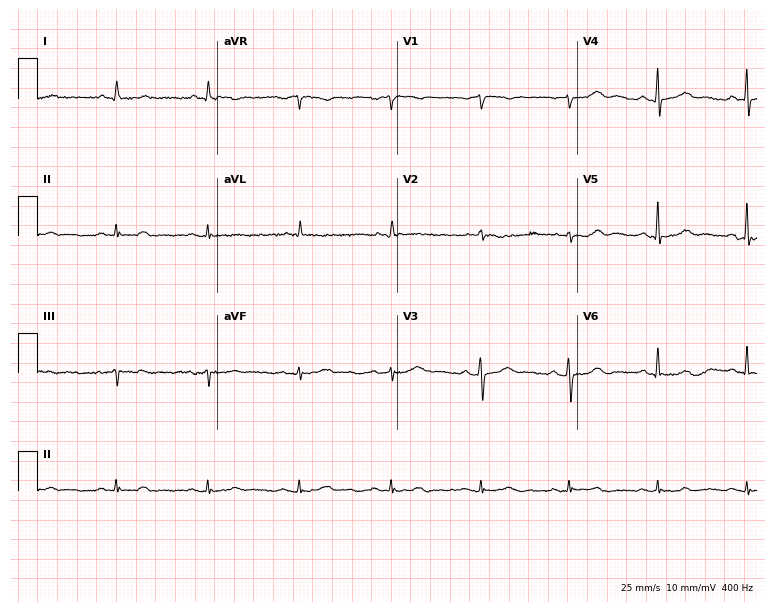
Standard 12-lead ECG recorded from a male patient, 77 years old (7.3-second recording at 400 Hz). None of these six findings is recorded: first-degree AV block, right bundle branch block, left bundle branch block, sinus bradycardia, atrial fibrillation, sinus tachycardia. Only these six findings were labelled.